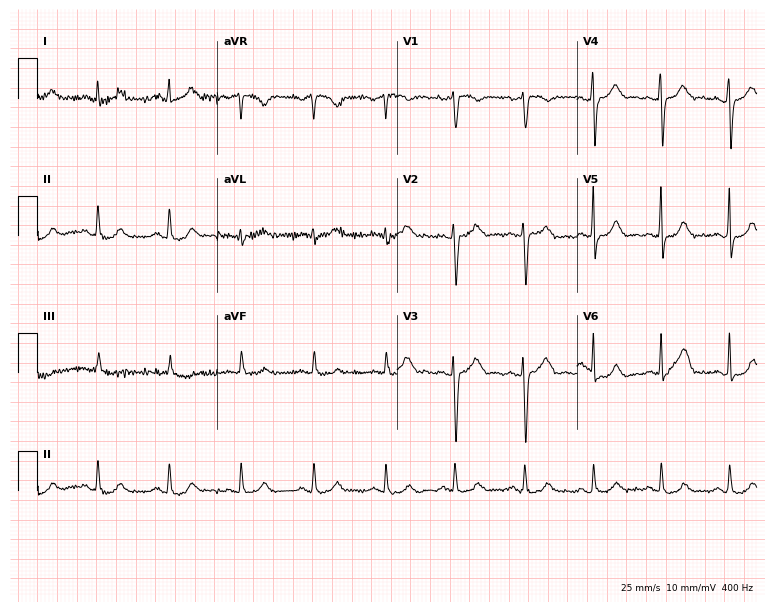
12-lead ECG (7.3-second recording at 400 Hz) from a 23-year-old female patient. Labelled as a normal ECG.